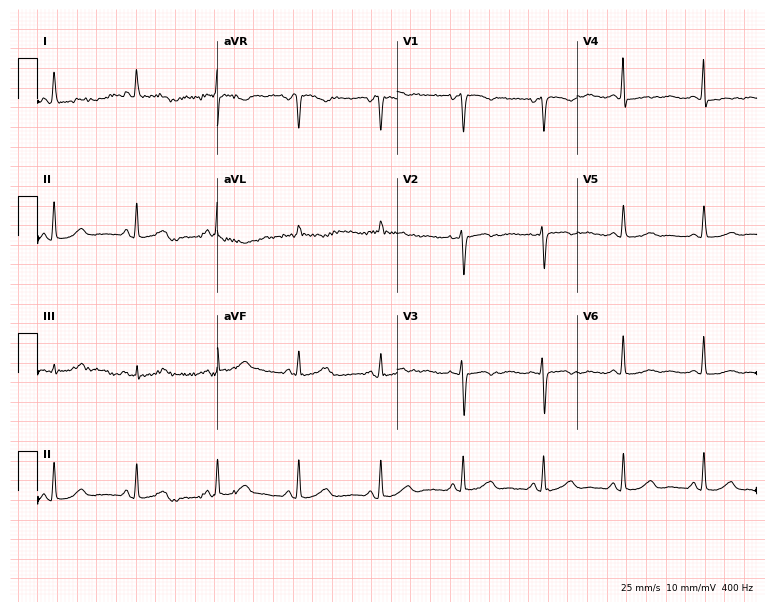
12-lead ECG from a 60-year-old female patient. No first-degree AV block, right bundle branch block, left bundle branch block, sinus bradycardia, atrial fibrillation or sinus tachycardia recorded for this tracing.